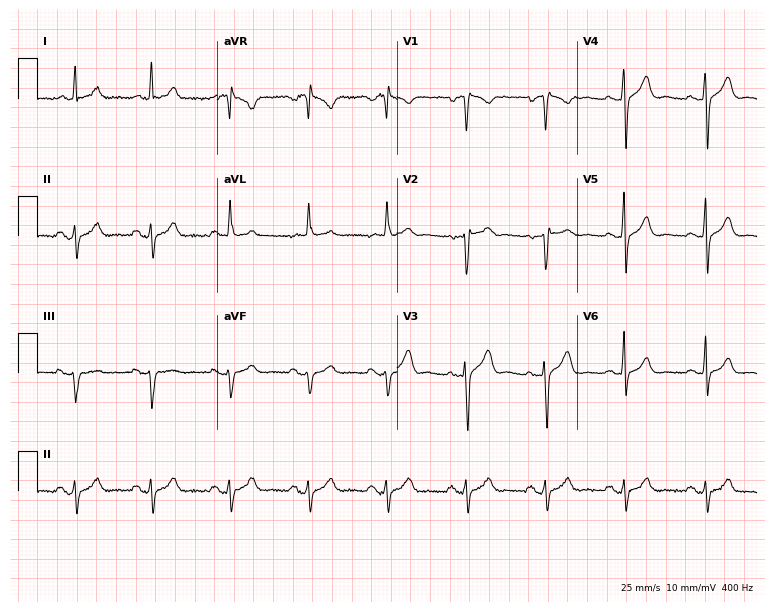
ECG — a 58-year-old male. Screened for six findings — first-degree AV block, right bundle branch block (RBBB), left bundle branch block (LBBB), sinus bradycardia, atrial fibrillation (AF), sinus tachycardia — none is recorded.